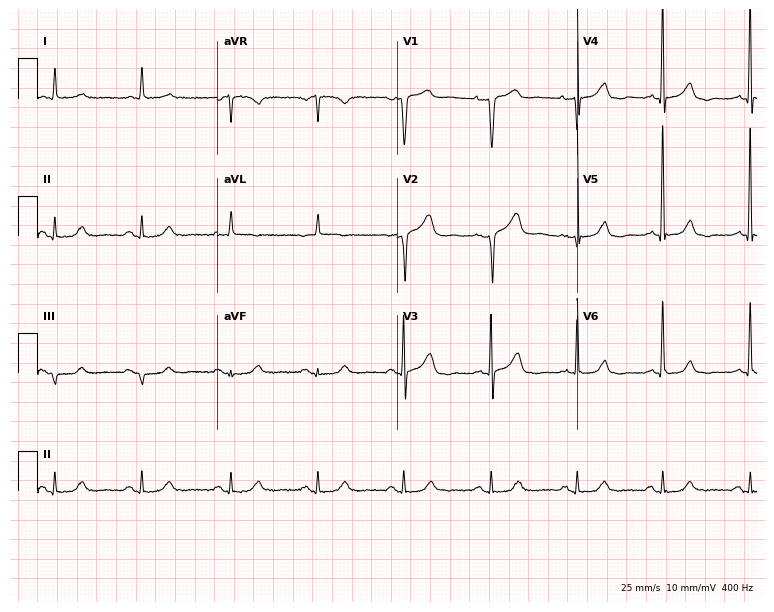
12-lead ECG from a female, 72 years old. Recorded interpretation: within normal limits.